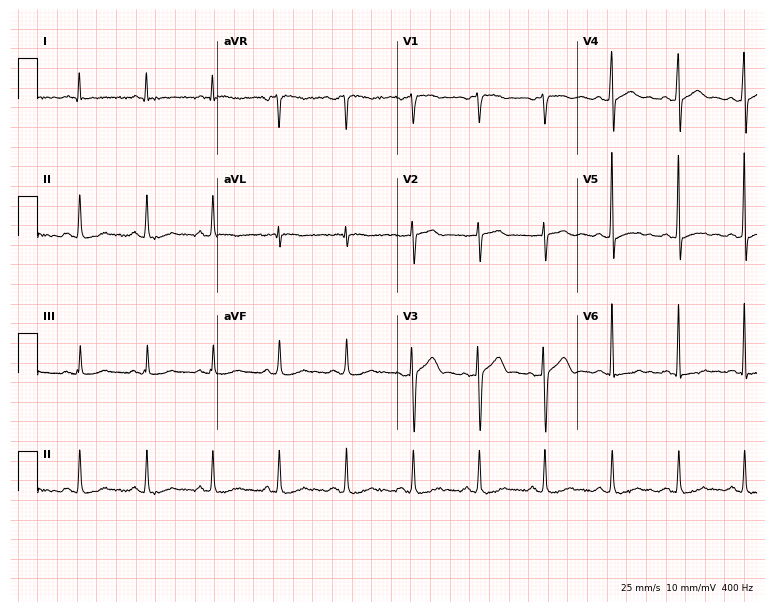
12-lead ECG from a 58-year-old male (7.3-second recording at 400 Hz). No first-degree AV block, right bundle branch block, left bundle branch block, sinus bradycardia, atrial fibrillation or sinus tachycardia recorded for this tracing. Only these six findings were labelled.